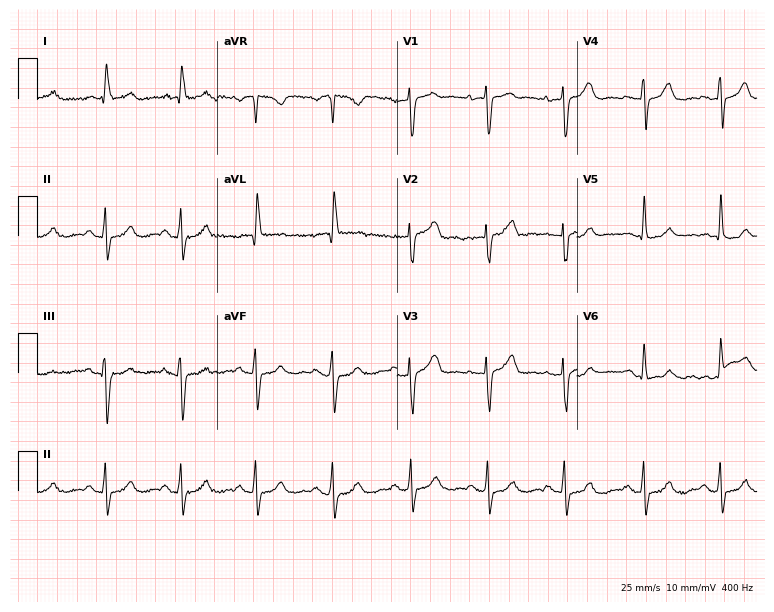
Electrocardiogram (7.3-second recording at 400 Hz), a woman, 65 years old. Overall reading on record: normal ECG.